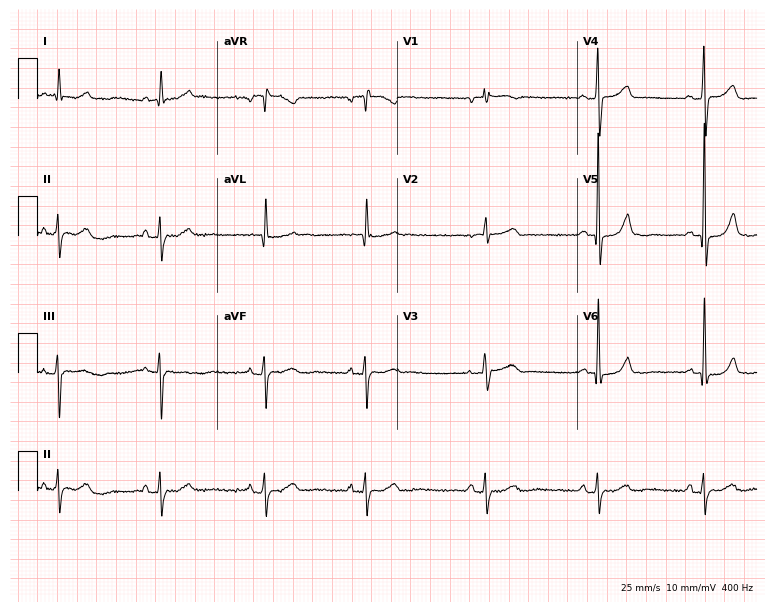
Electrocardiogram (7.3-second recording at 400 Hz), a 63-year-old male. Of the six screened findings (first-degree AV block, right bundle branch block (RBBB), left bundle branch block (LBBB), sinus bradycardia, atrial fibrillation (AF), sinus tachycardia), none is recorded.